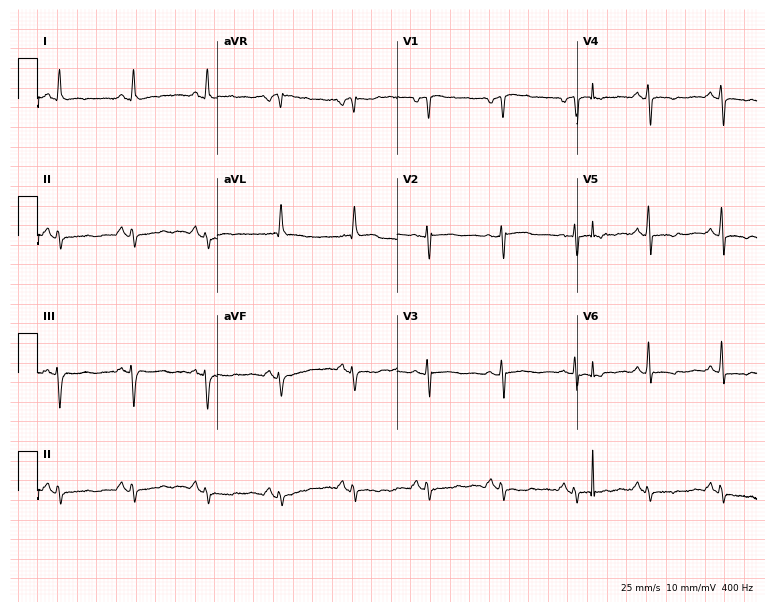
Resting 12-lead electrocardiogram. Patient: a female, 72 years old. Read as a normal ECG.